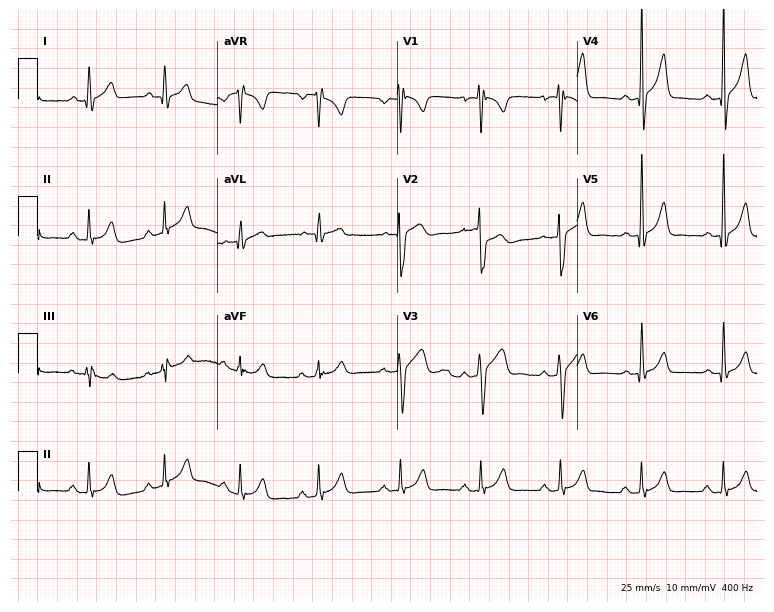
ECG — a man, 22 years old. Labelled as a normal ECG.